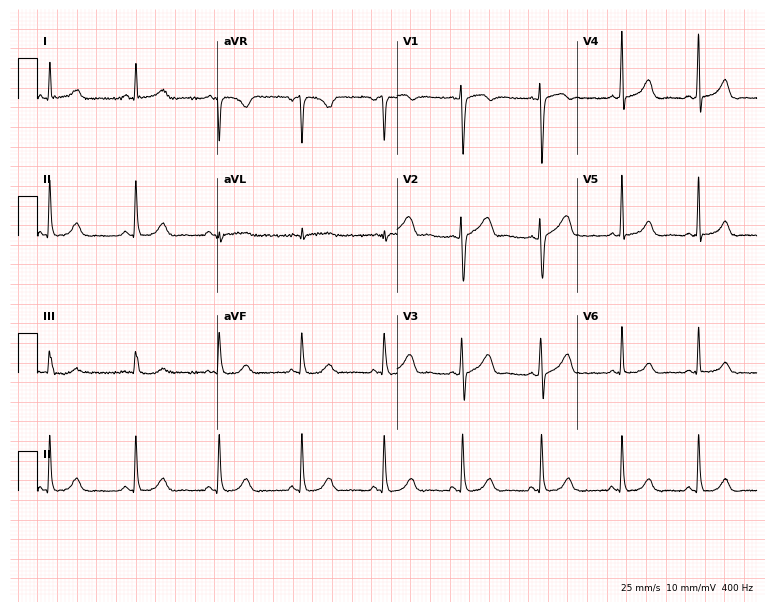
Resting 12-lead electrocardiogram. Patient: a 37-year-old female. Read as a normal ECG.